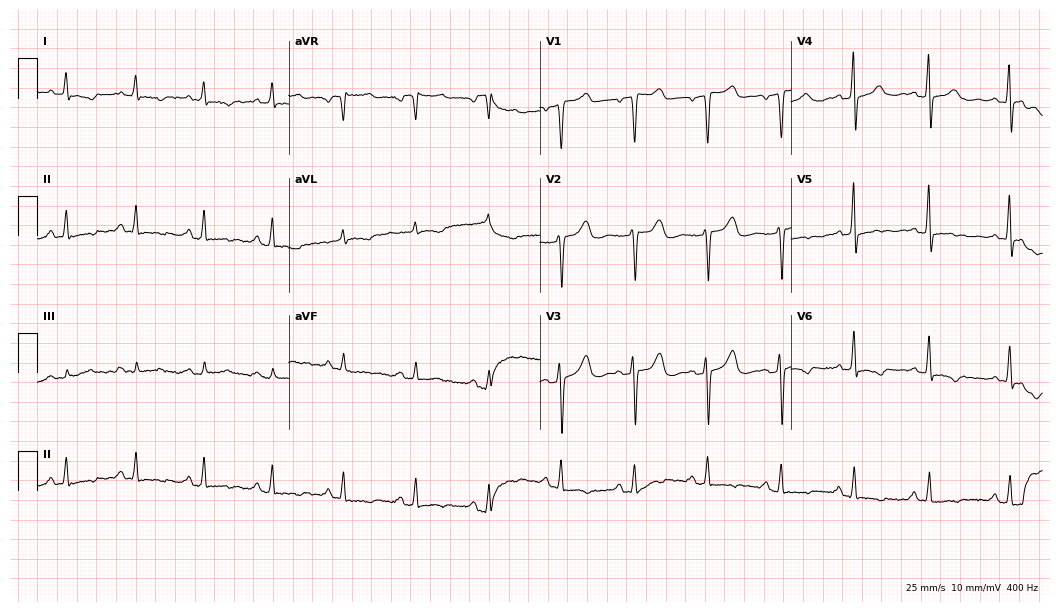
12-lead ECG from a female patient, 44 years old. No first-degree AV block, right bundle branch block, left bundle branch block, sinus bradycardia, atrial fibrillation or sinus tachycardia recorded for this tracing.